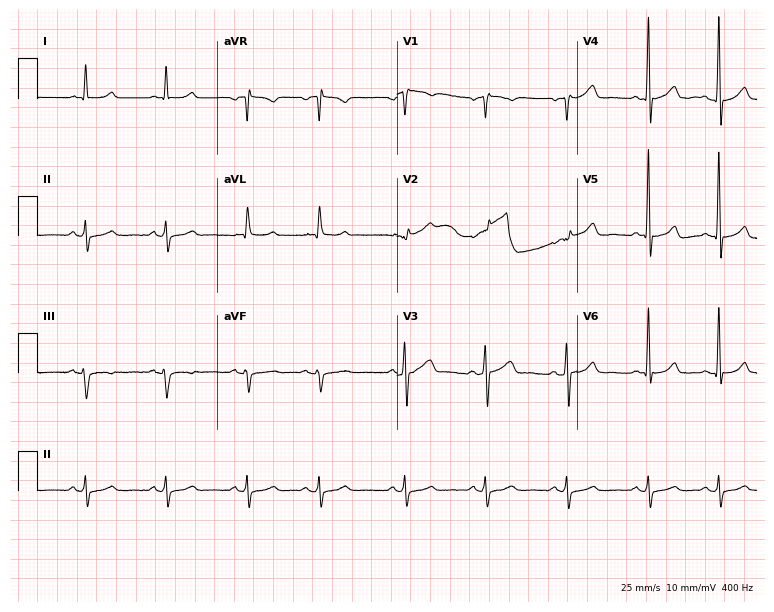
Electrocardiogram, a 66-year-old man. Of the six screened findings (first-degree AV block, right bundle branch block, left bundle branch block, sinus bradycardia, atrial fibrillation, sinus tachycardia), none is recorded.